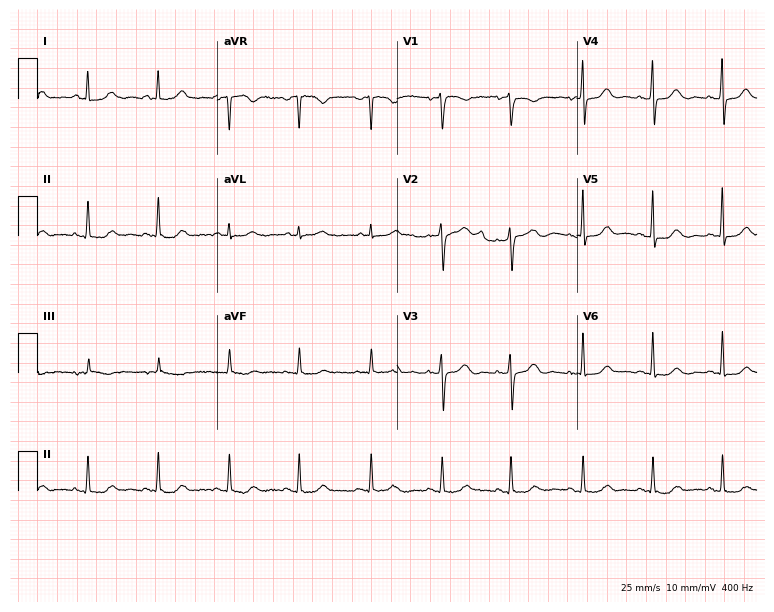
Standard 12-lead ECG recorded from a woman, 58 years old (7.3-second recording at 400 Hz). Read as a normal ECG.